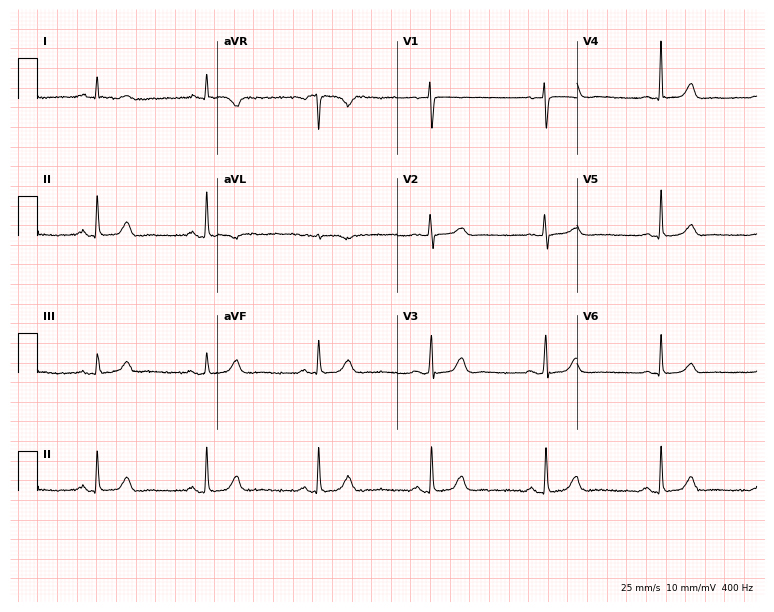
12-lead ECG from a female, 59 years old (7.3-second recording at 400 Hz). Recorded interpretation: within normal limits.